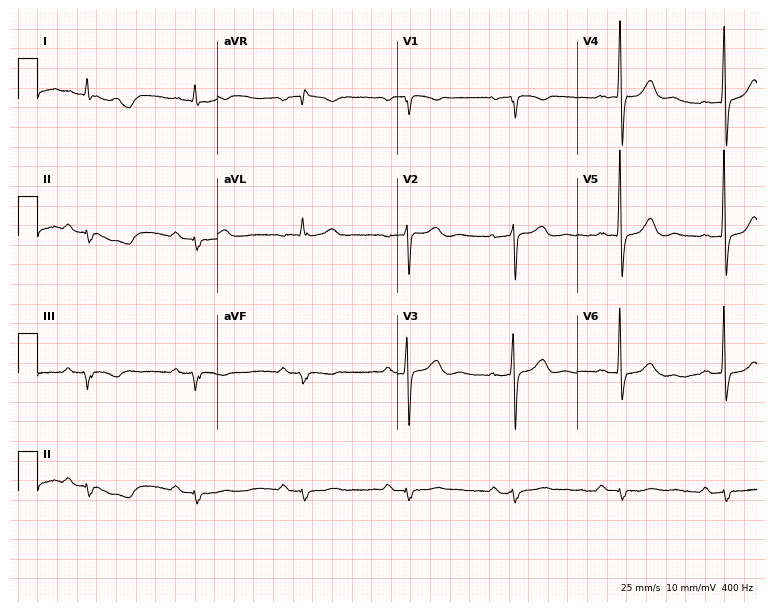
ECG — a male, 80 years old. Findings include first-degree AV block.